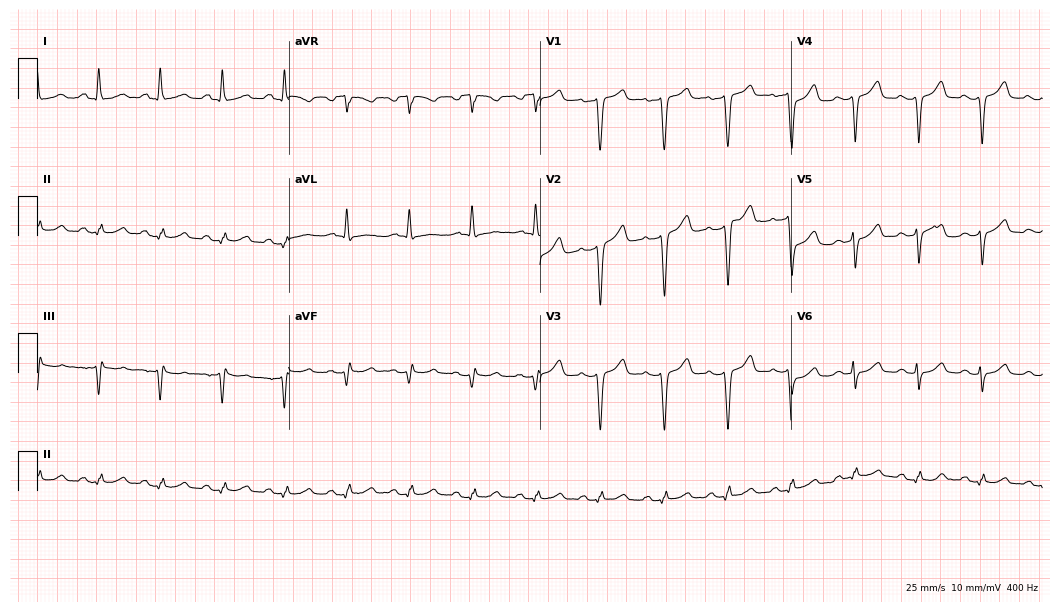
Electrocardiogram, a 57-year-old female patient. Of the six screened findings (first-degree AV block, right bundle branch block, left bundle branch block, sinus bradycardia, atrial fibrillation, sinus tachycardia), none is recorded. Other findings, if any, are not listed.